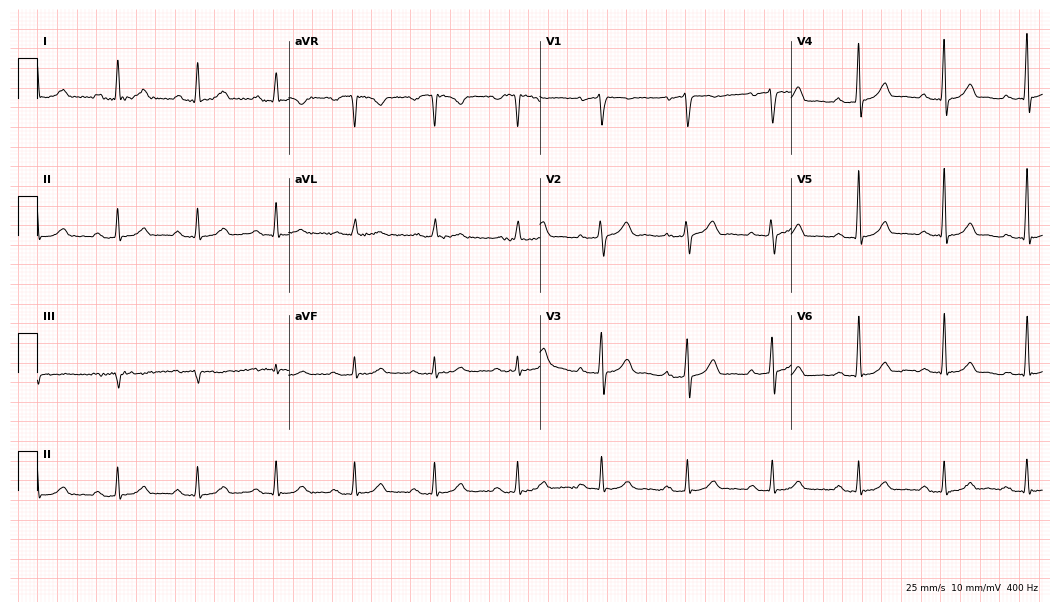
ECG — a 66-year-old male patient. Findings include first-degree AV block.